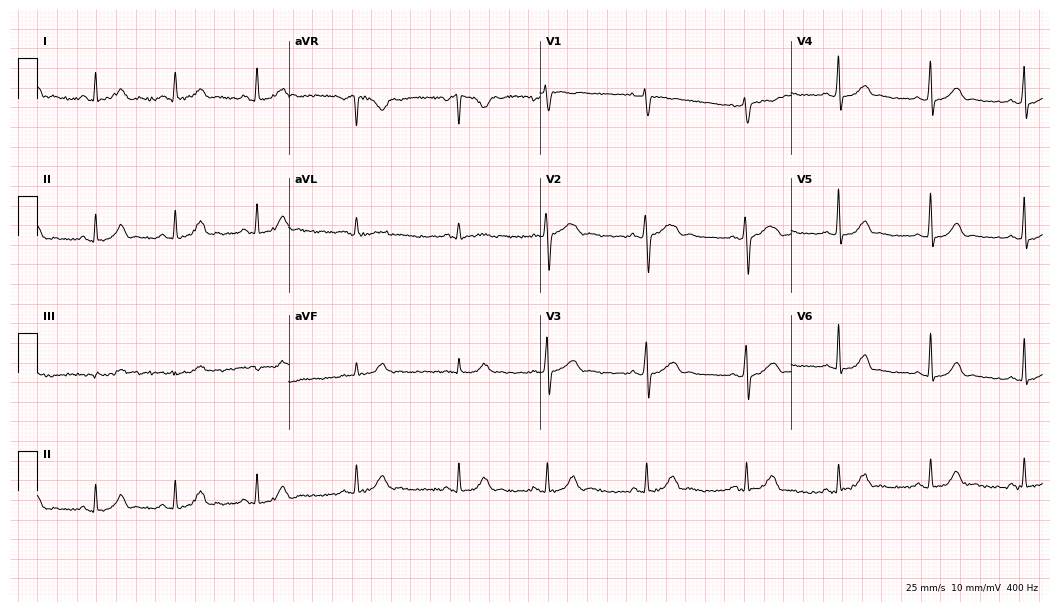
Resting 12-lead electrocardiogram. Patient: a 27-year-old woman. None of these six findings is recorded: first-degree AV block, right bundle branch block, left bundle branch block, sinus bradycardia, atrial fibrillation, sinus tachycardia. Only these six findings were labelled.